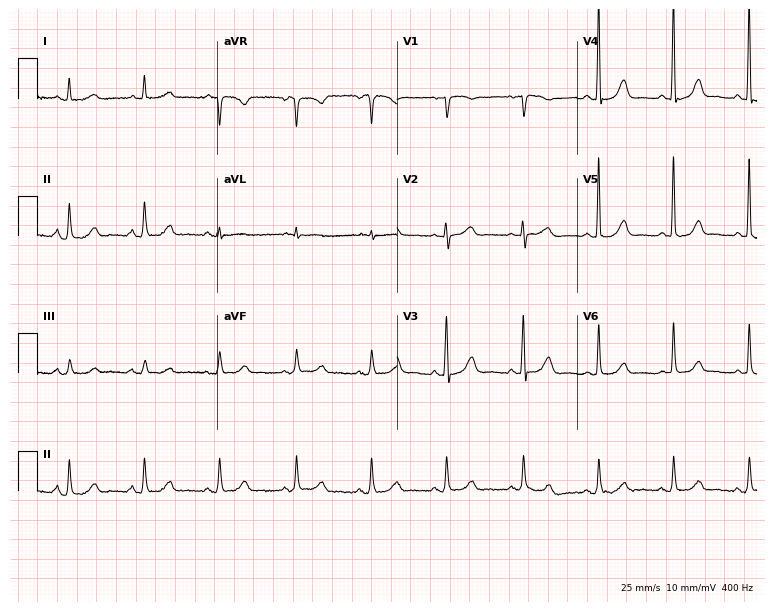
Electrocardiogram (7.3-second recording at 400 Hz), a woman, 65 years old. Of the six screened findings (first-degree AV block, right bundle branch block, left bundle branch block, sinus bradycardia, atrial fibrillation, sinus tachycardia), none is recorded.